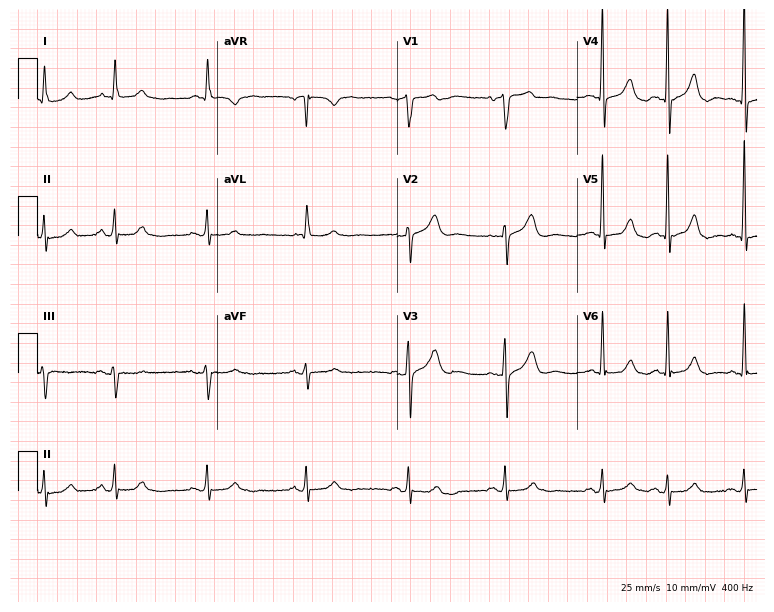
Electrocardiogram, a man, 66 years old. Of the six screened findings (first-degree AV block, right bundle branch block (RBBB), left bundle branch block (LBBB), sinus bradycardia, atrial fibrillation (AF), sinus tachycardia), none is recorded.